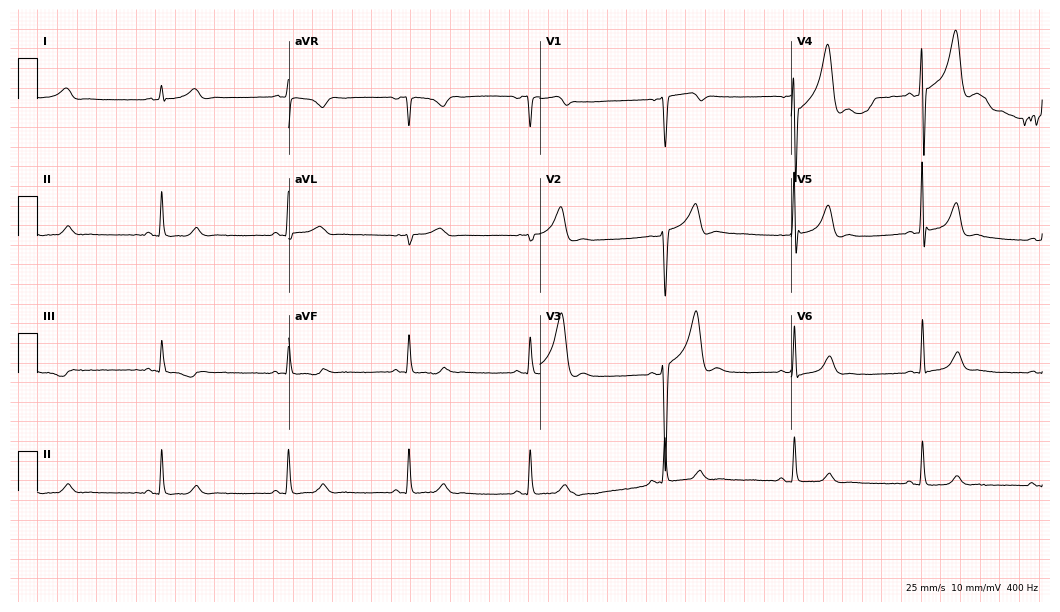
ECG (10.2-second recording at 400 Hz) — a 41-year-old male. Findings include sinus bradycardia (a sinus rate of 50 beats per minute or less).